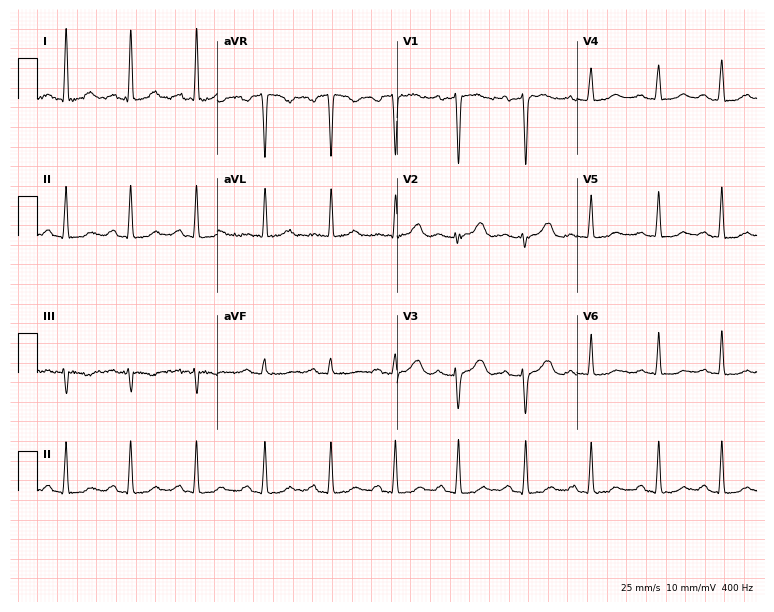
12-lead ECG (7.3-second recording at 400 Hz) from a woman, 45 years old. Labelled as a normal ECG.